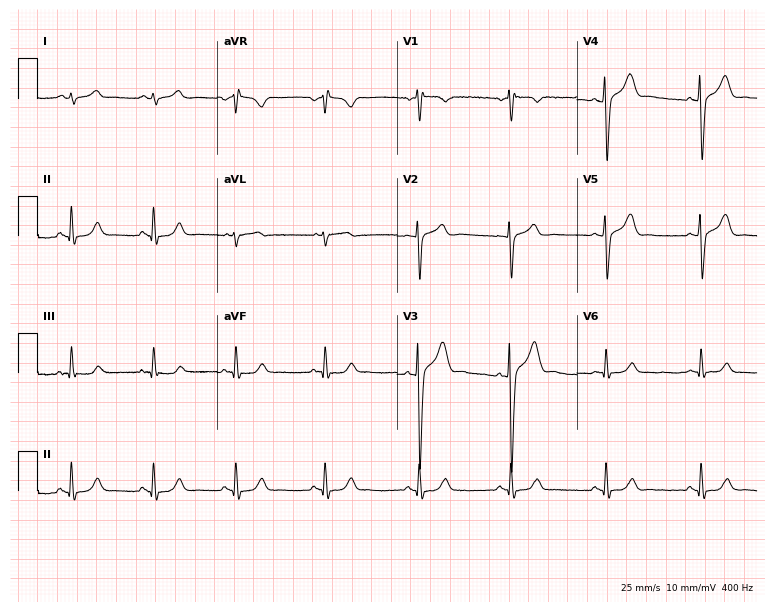
12-lead ECG from a man, 36 years old (7.3-second recording at 400 Hz). Recorded interpretation: within normal limits.